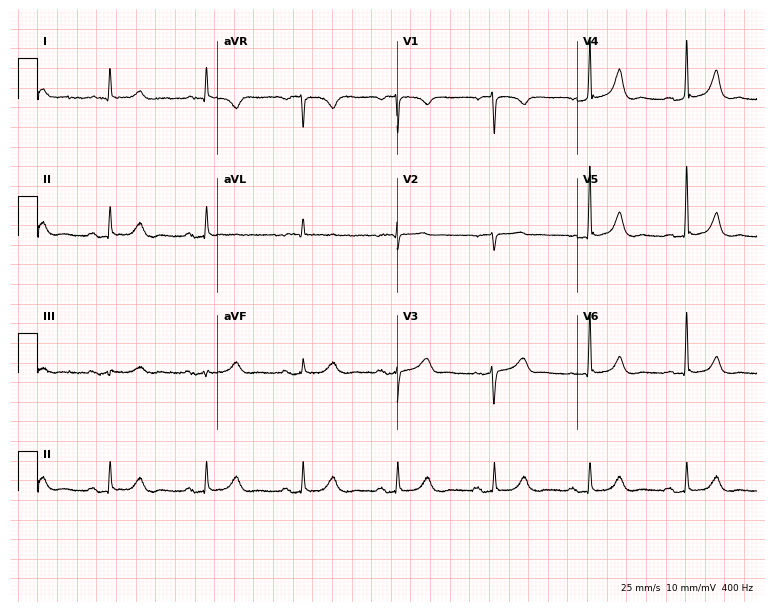
ECG — a female, 64 years old. Screened for six findings — first-degree AV block, right bundle branch block, left bundle branch block, sinus bradycardia, atrial fibrillation, sinus tachycardia — none is recorded. Findings outside these six are not listed.